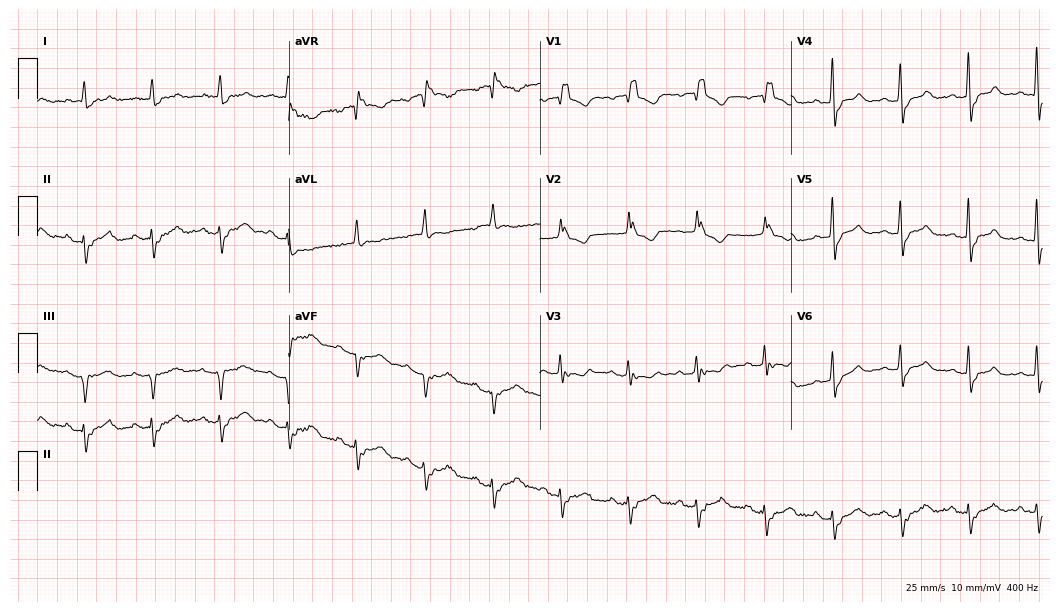
Resting 12-lead electrocardiogram. Patient: an 81-year-old female. The tracing shows right bundle branch block.